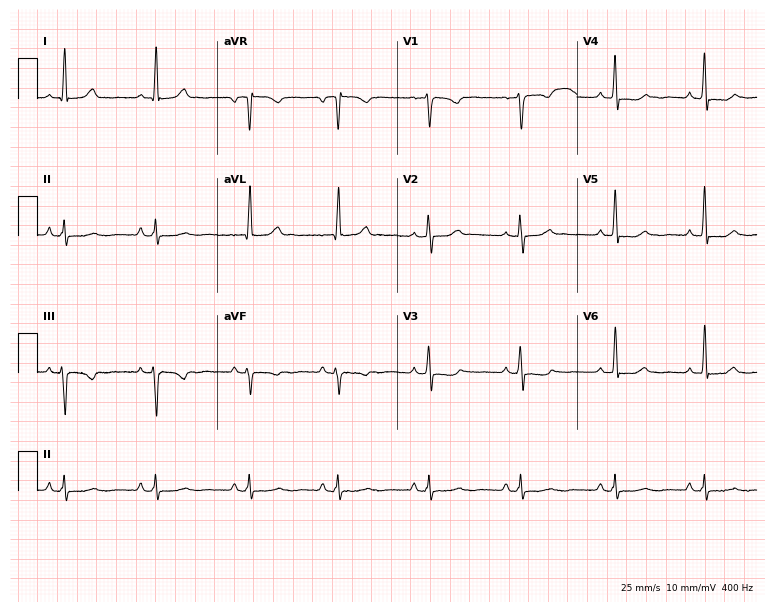
Standard 12-lead ECG recorded from a female, 75 years old (7.3-second recording at 400 Hz). None of these six findings is recorded: first-degree AV block, right bundle branch block, left bundle branch block, sinus bradycardia, atrial fibrillation, sinus tachycardia. Other findings, if any, are not listed.